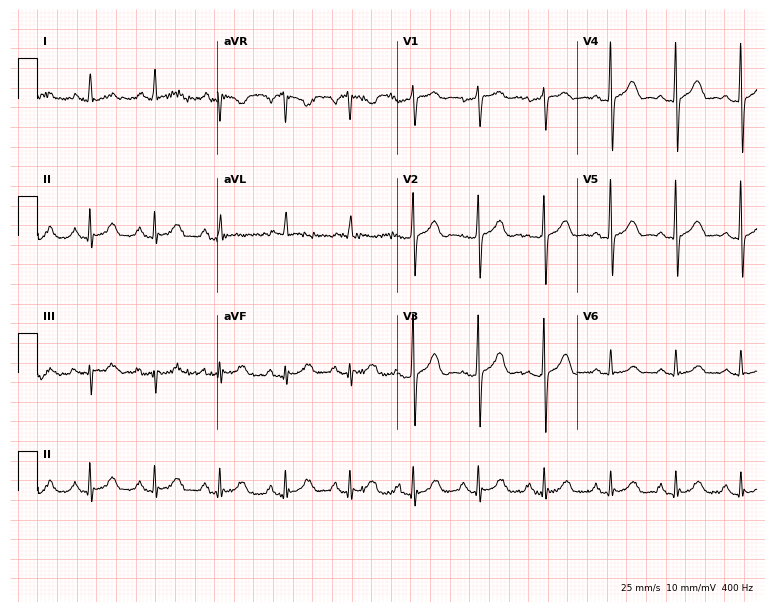
Standard 12-lead ECG recorded from a woman, 72 years old. Read as a normal ECG.